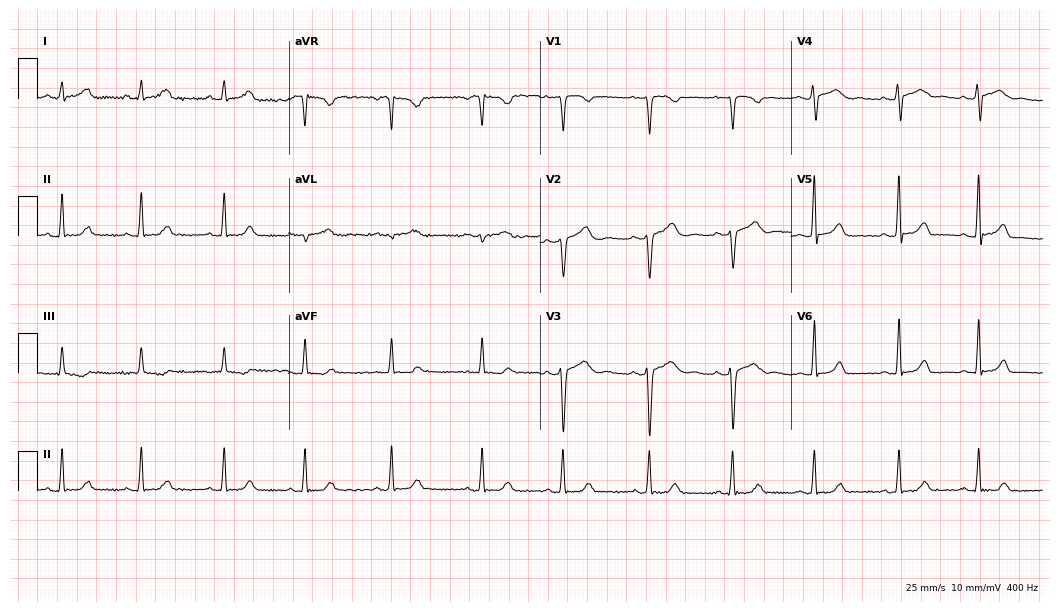
12-lead ECG (10.2-second recording at 400 Hz) from a 29-year-old woman. Labelled as a normal ECG.